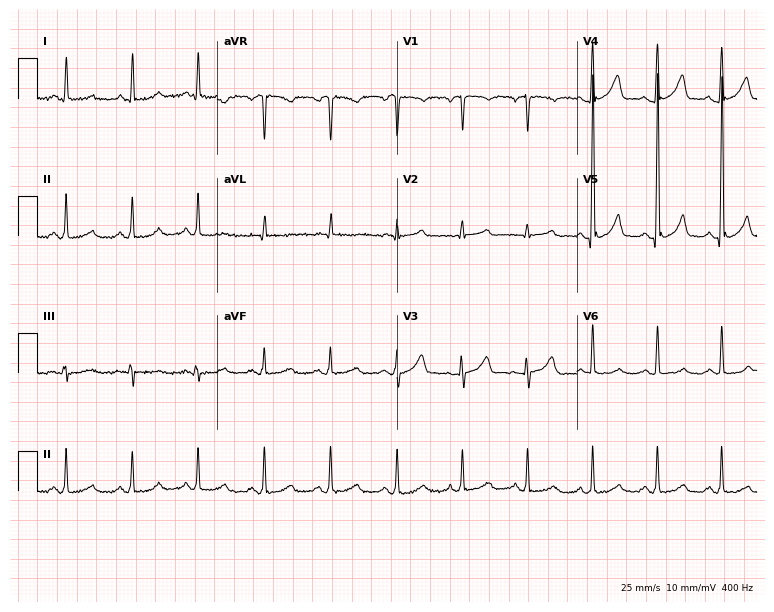
Electrocardiogram, a 59-year-old female. Of the six screened findings (first-degree AV block, right bundle branch block, left bundle branch block, sinus bradycardia, atrial fibrillation, sinus tachycardia), none is recorded. Findings outside these six are not listed.